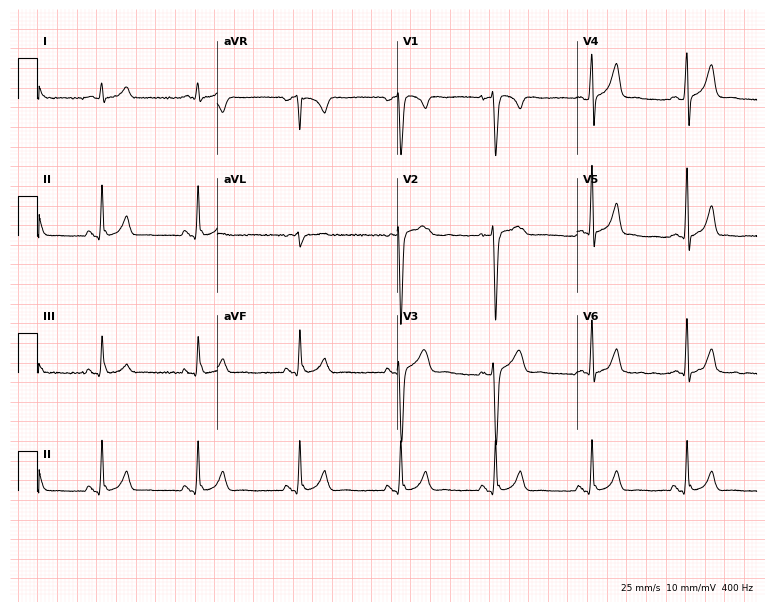
Resting 12-lead electrocardiogram. Patient: a man, 24 years old. Read as a normal ECG.